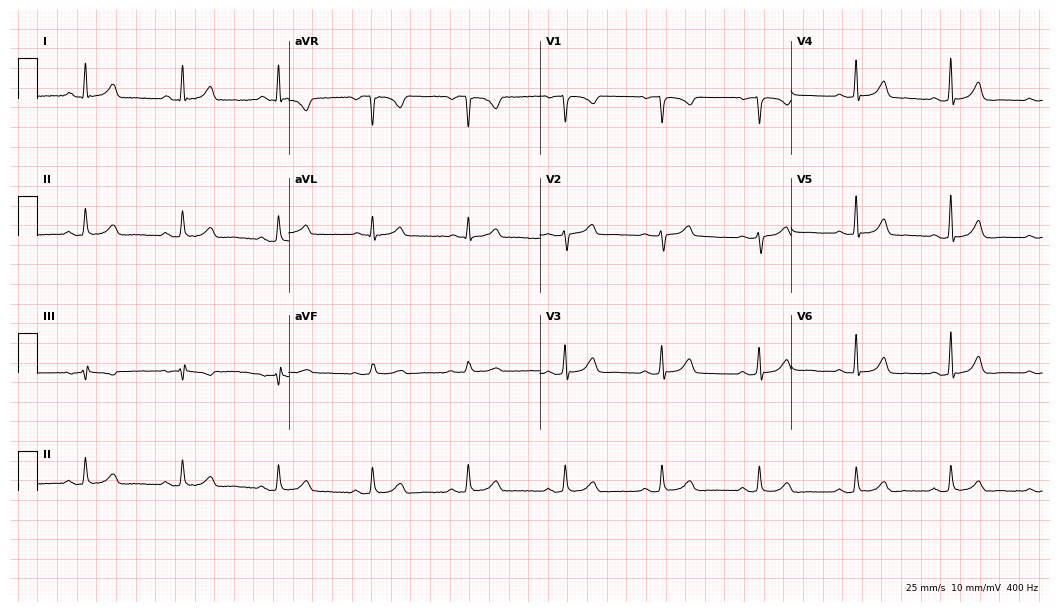
12-lead ECG from a female patient, 49 years old (10.2-second recording at 400 Hz). Recorded interpretation: within normal limits.